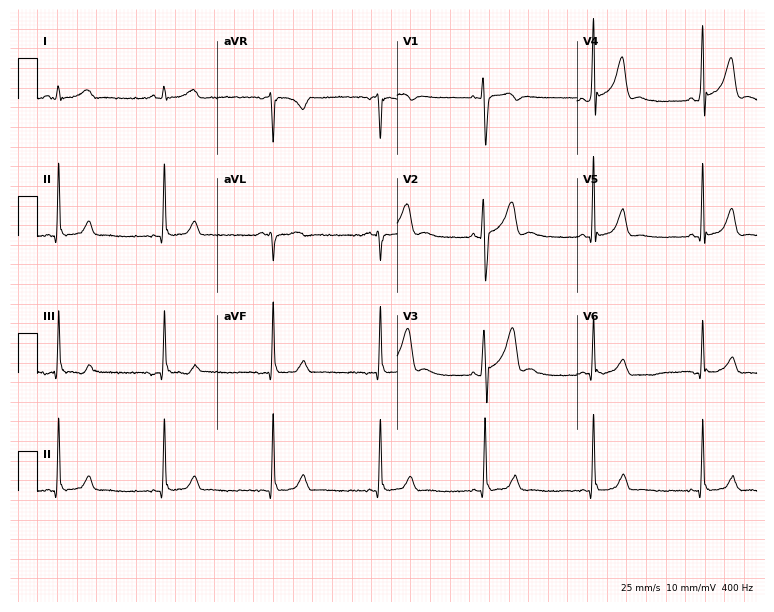
Standard 12-lead ECG recorded from a male, 36 years old (7.3-second recording at 400 Hz). Read as a normal ECG.